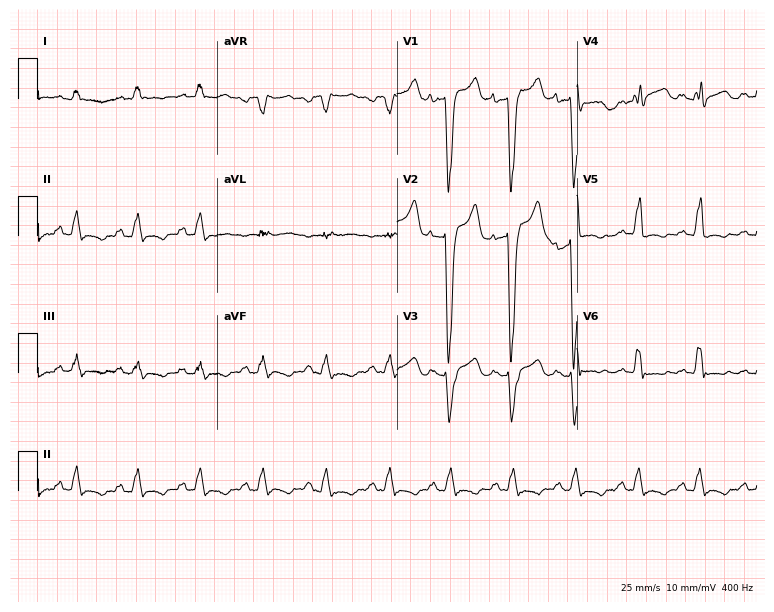
ECG — a male patient, 43 years old. Findings include left bundle branch block.